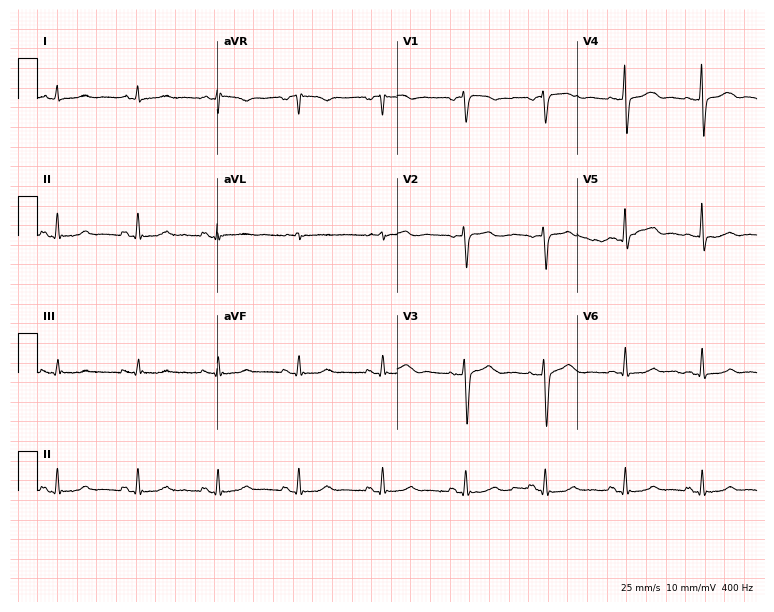
12-lead ECG from a female patient, 43 years old (7.3-second recording at 400 Hz). Recorded interpretation: within normal limits.